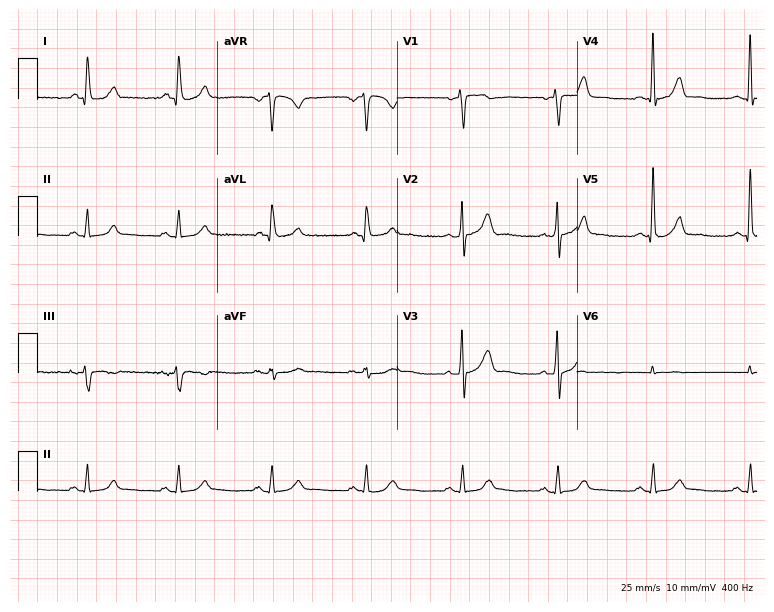
Standard 12-lead ECG recorded from a 63-year-old male patient. Read as a normal ECG.